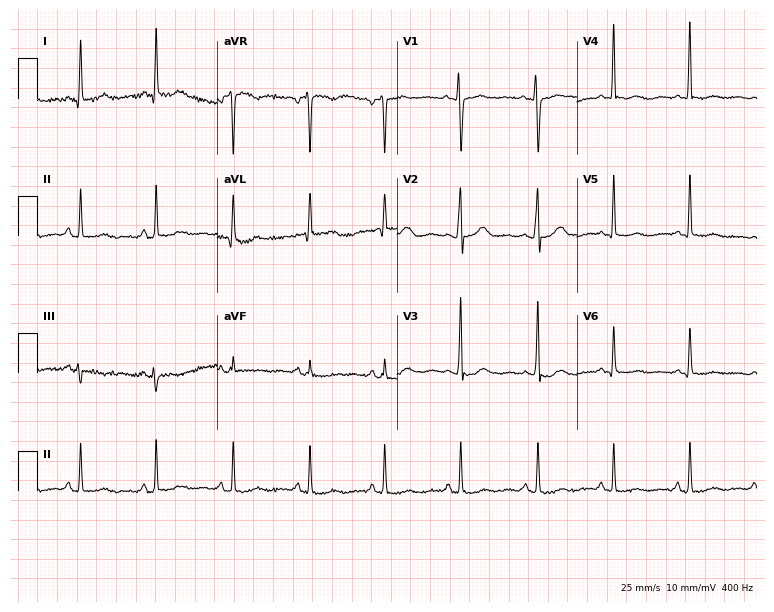
12-lead ECG from a female patient, 50 years old (7.3-second recording at 400 Hz). No first-degree AV block, right bundle branch block, left bundle branch block, sinus bradycardia, atrial fibrillation or sinus tachycardia recorded for this tracing. Only these six findings were labelled.